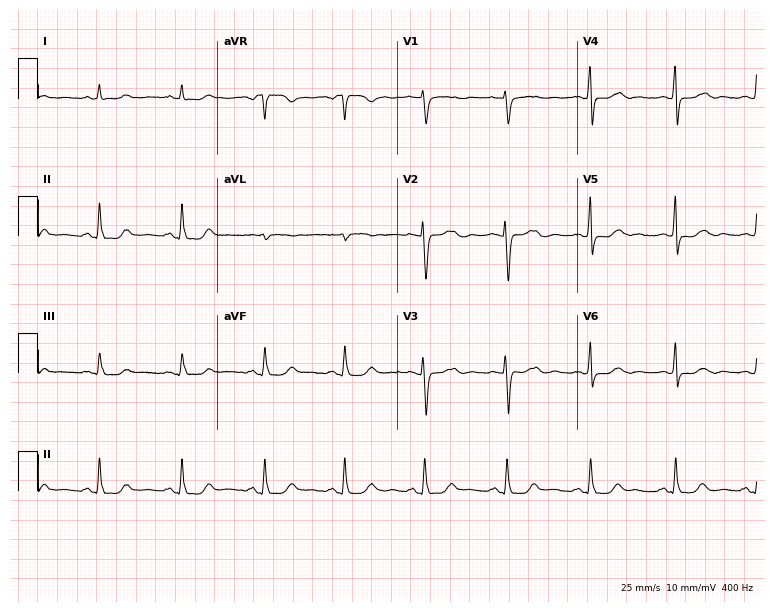
12-lead ECG from a female, 40 years old. Labelled as a normal ECG.